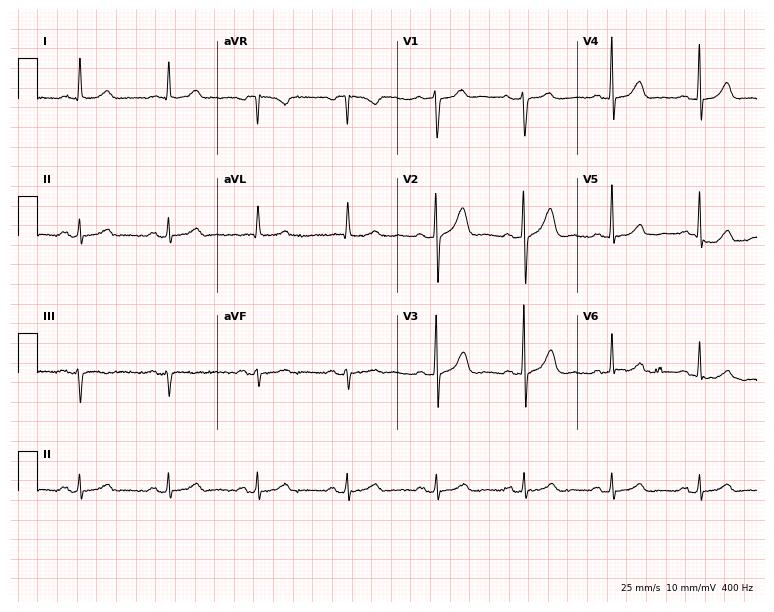
12-lead ECG from a 74-year-old man (7.3-second recording at 400 Hz). Recorded interpretation: within normal limits.